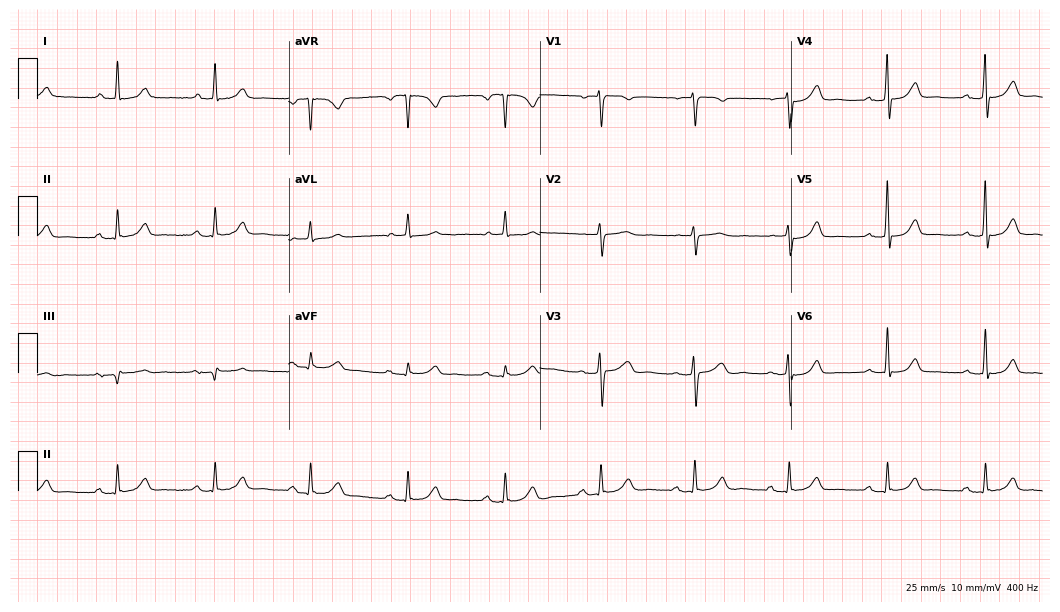
Electrocardiogram (10.2-second recording at 400 Hz), a female, 68 years old. Overall reading on record: normal ECG.